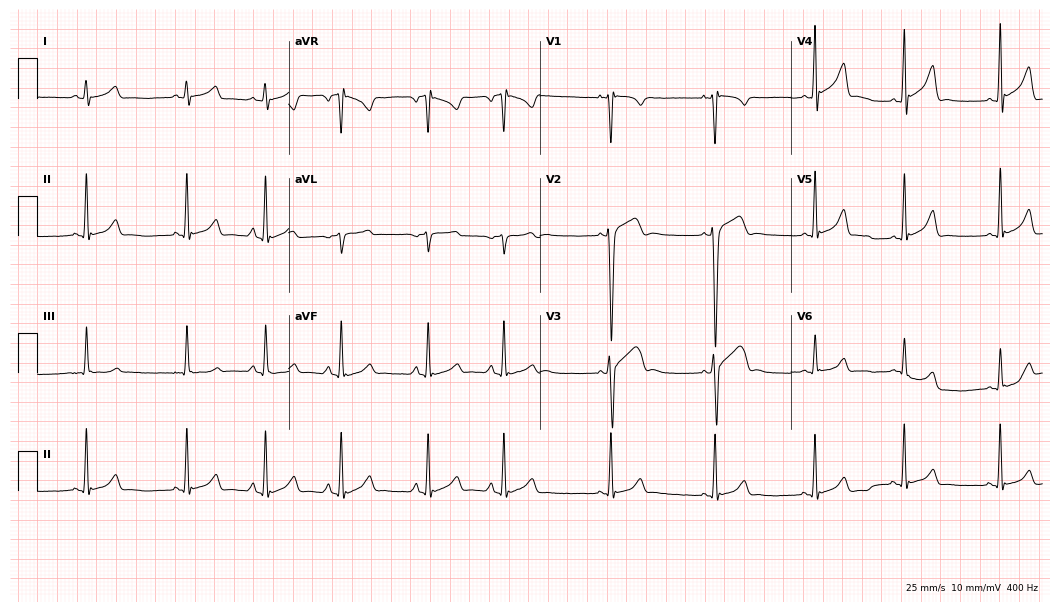
12-lead ECG from a male patient, 17 years old. Recorded interpretation: within normal limits.